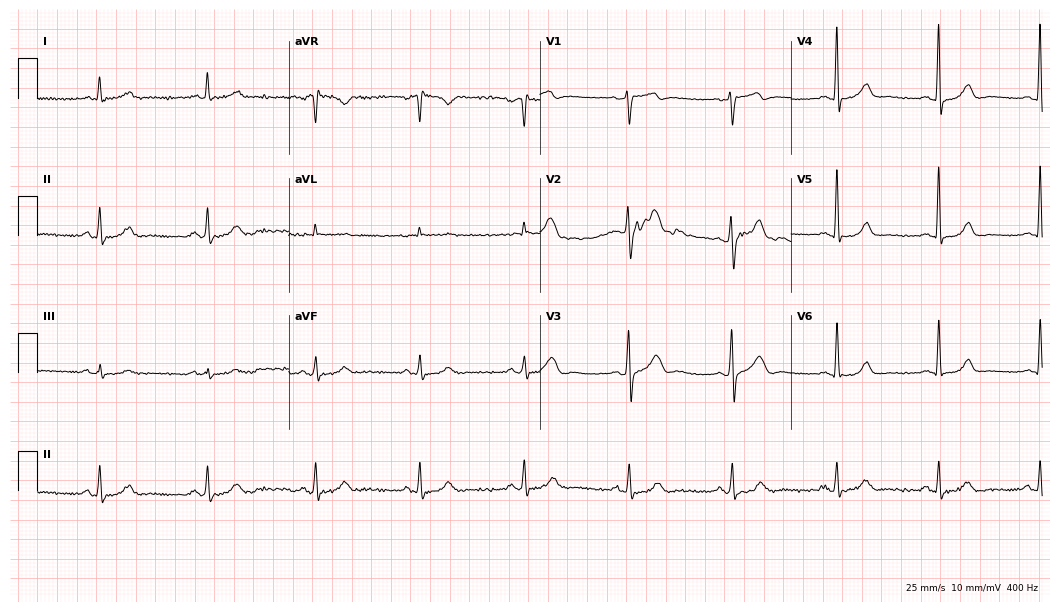
Electrocardiogram, a 48-year-old male. Of the six screened findings (first-degree AV block, right bundle branch block, left bundle branch block, sinus bradycardia, atrial fibrillation, sinus tachycardia), none is recorded. Findings outside these six are not listed.